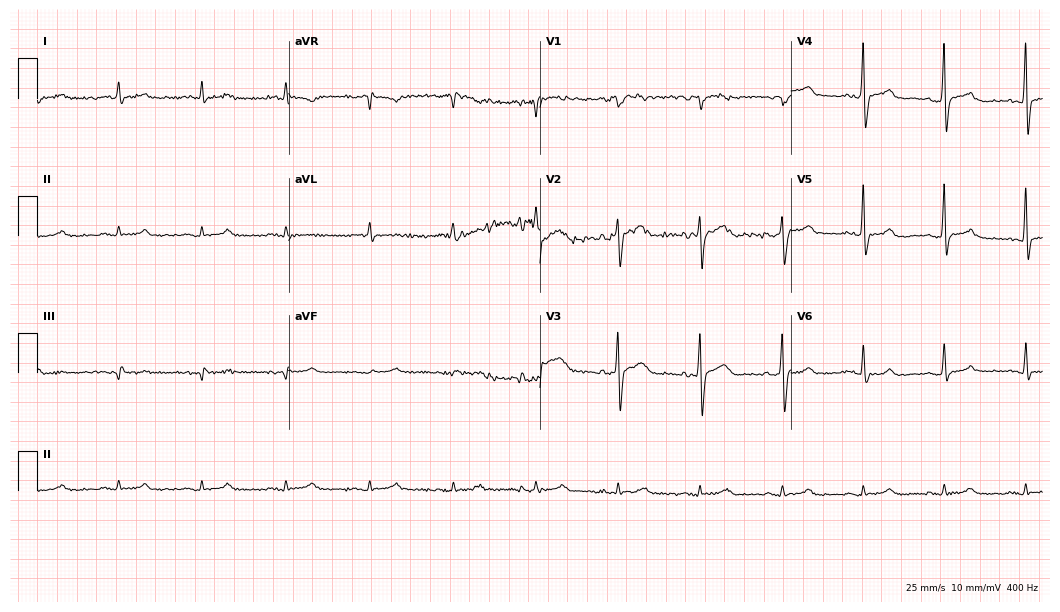
Electrocardiogram, a man, 49 years old. Overall reading on record: normal ECG.